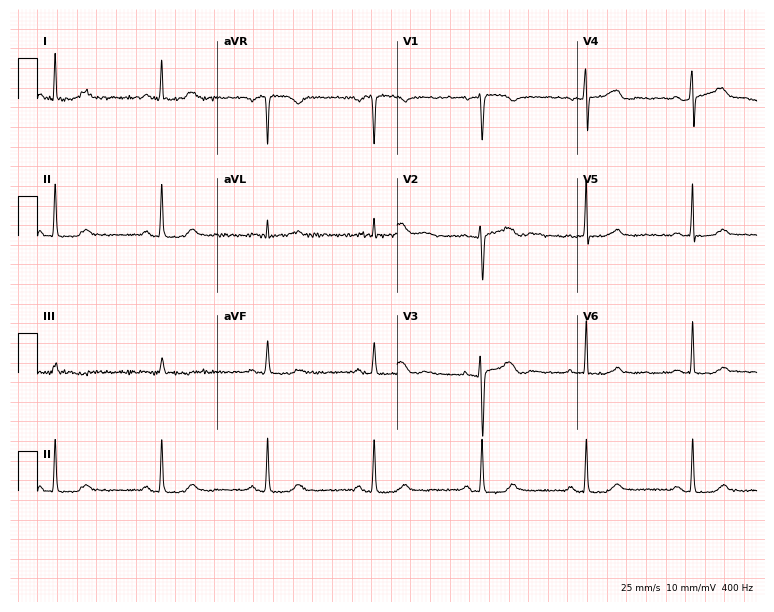
12-lead ECG from a 53-year-old female (7.3-second recording at 400 Hz). No first-degree AV block, right bundle branch block, left bundle branch block, sinus bradycardia, atrial fibrillation or sinus tachycardia recorded for this tracing.